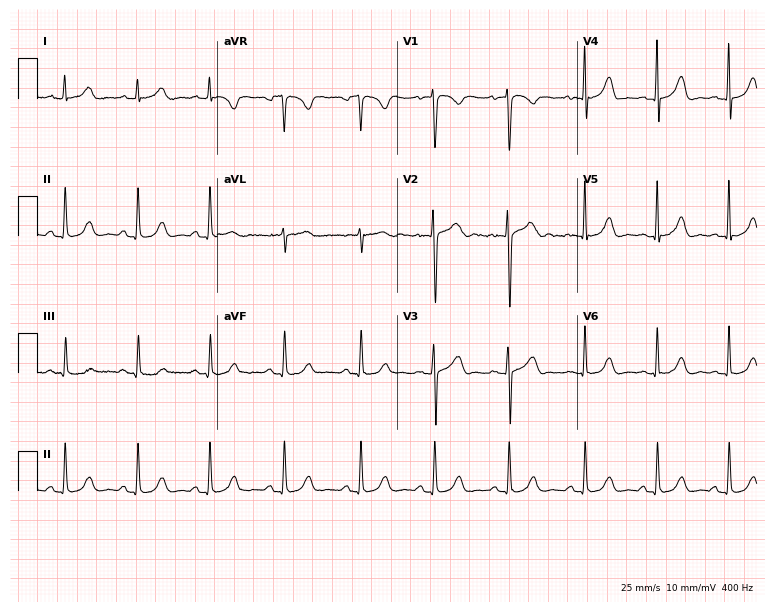
12-lead ECG (7.3-second recording at 400 Hz) from a 27-year-old female. Labelled as a normal ECG.